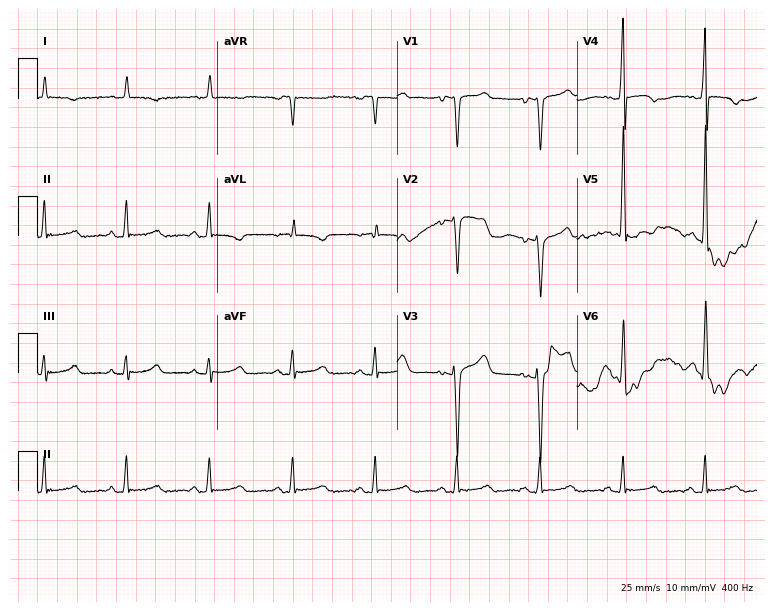
Electrocardiogram, a 64-year-old man. Of the six screened findings (first-degree AV block, right bundle branch block (RBBB), left bundle branch block (LBBB), sinus bradycardia, atrial fibrillation (AF), sinus tachycardia), none is recorded. Findings outside these six are not listed.